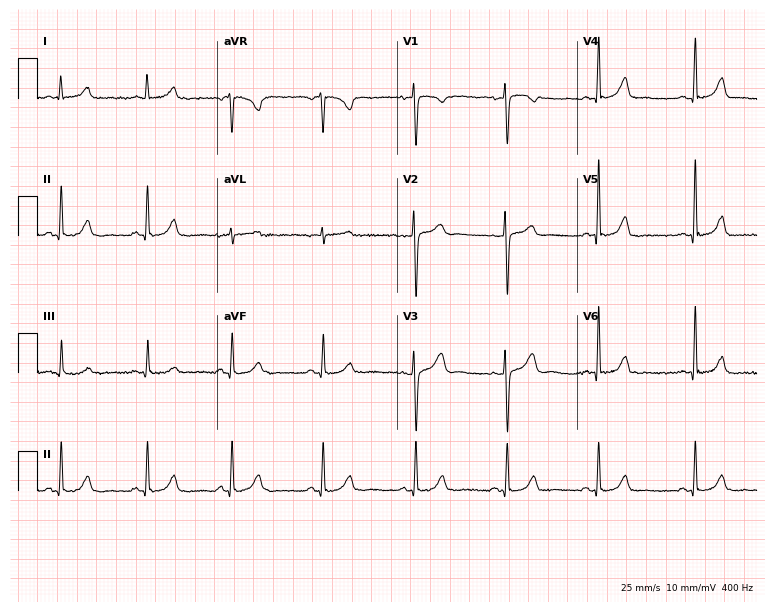
12-lead ECG from a 40-year-old female. Labelled as a normal ECG.